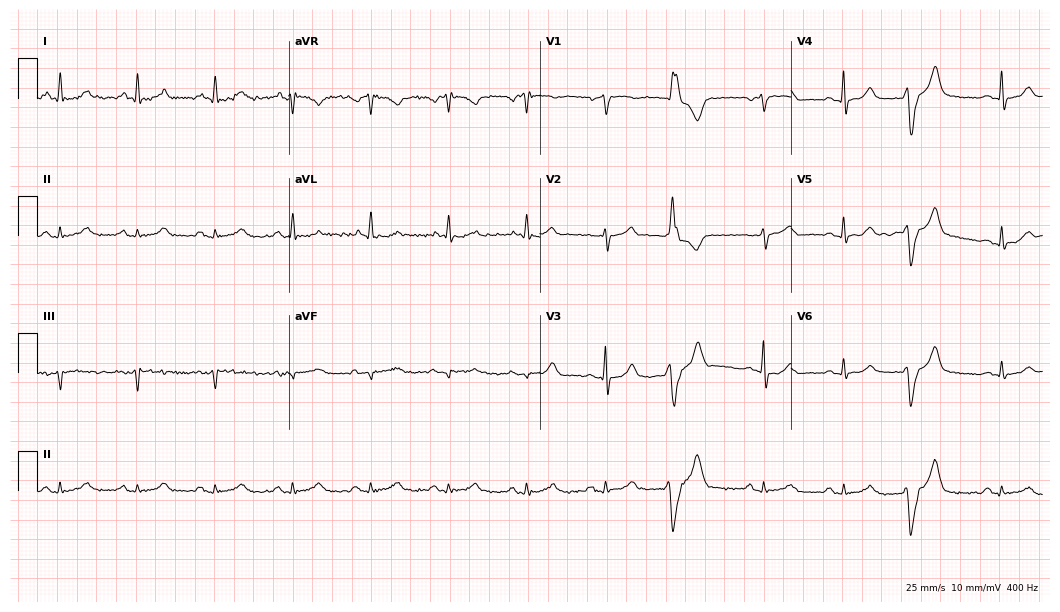
12-lead ECG from a woman, 67 years old. No first-degree AV block, right bundle branch block, left bundle branch block, sinus bradycardia, atrial fibrillation or sinus tachycardia recorded for this tracing. Findings outside these six are not listed.